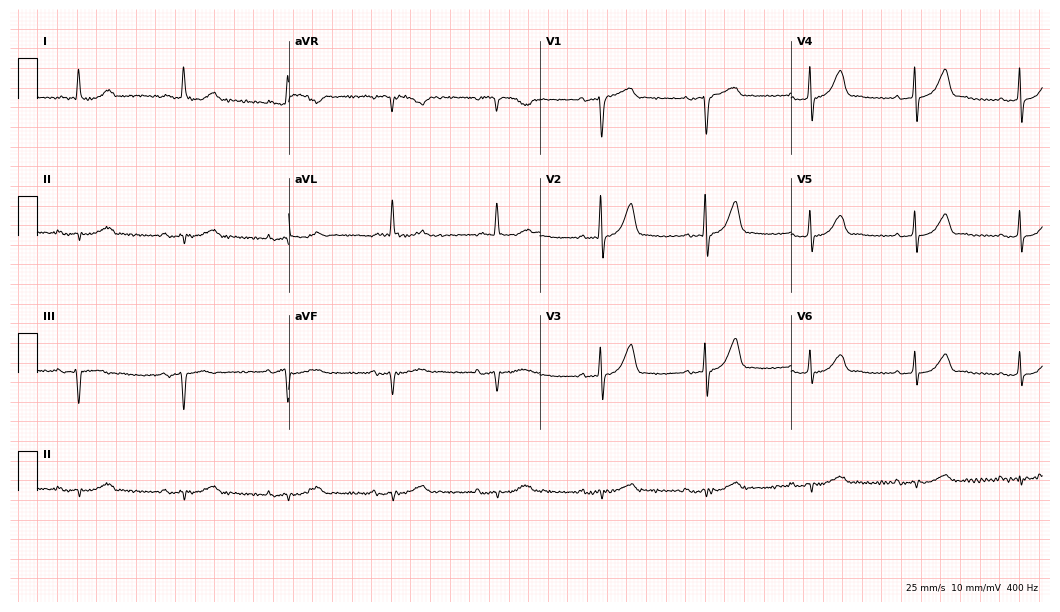
ECG (10.2-second recording at 400 Hz) — a 68-year-old female patient. Labelled as a normal ECG.